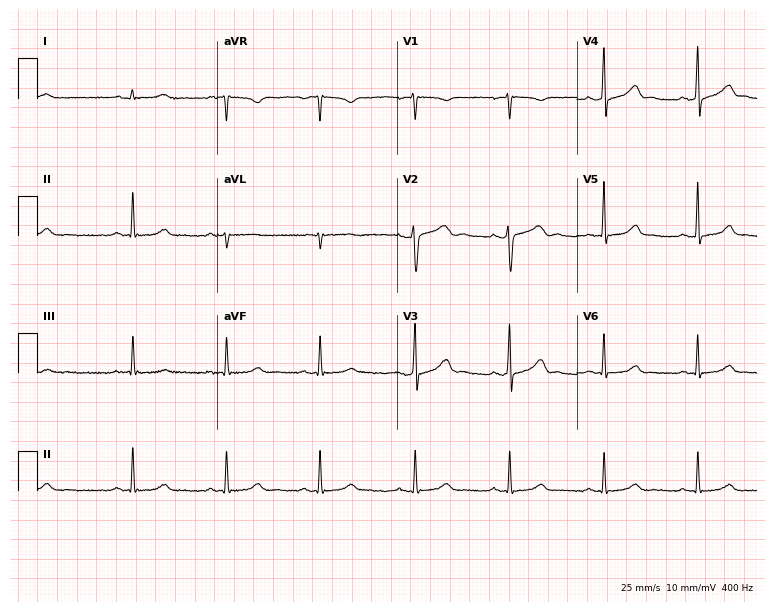
Resting 12-lead electrocardiogram (7.3-second recording at 400 Hz). Patient: a 41-year-old female. None of these six findings is recorded: first-degree AV block, right bundle branch block (RBBB), left bundle branch block (LBBB), sinus bradycardia, atrial fibrillation (AF), sinus tachycardia.